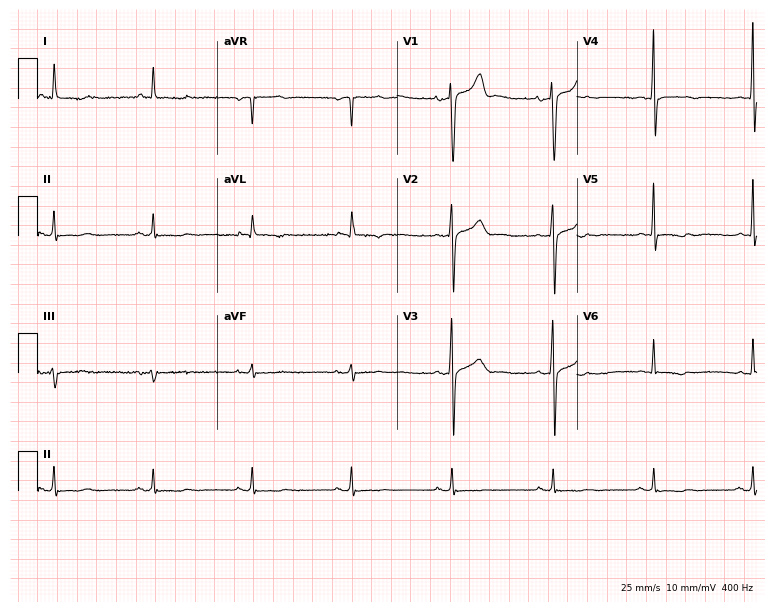
Resting 12-lead electrocardiogram. Patient: a male, 65 years old. None of these six findings is recorded: first-degree AV block, right bundle branch block, left bundle branch block, sinus bradycardia, atrial fibrillation, sinus tachycardia. Other findings, if any, are not listed.